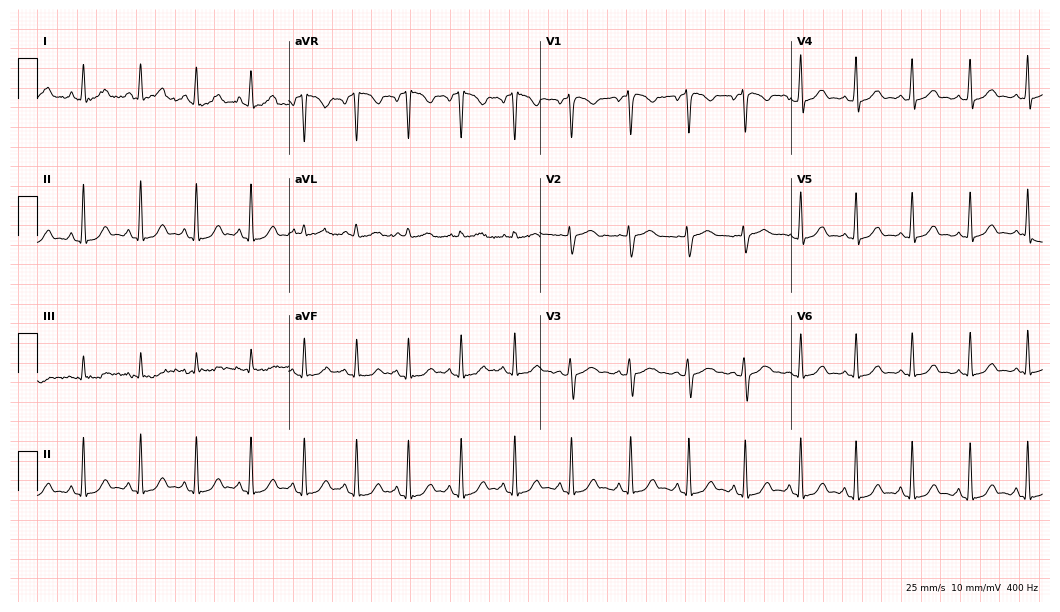
Electrocardiogram (10.2-second recording at 400 Hz), a 24-year-old female patient. Interpretation includes sinus tachycardia (a sinus rate of 100 beats per minute or more).